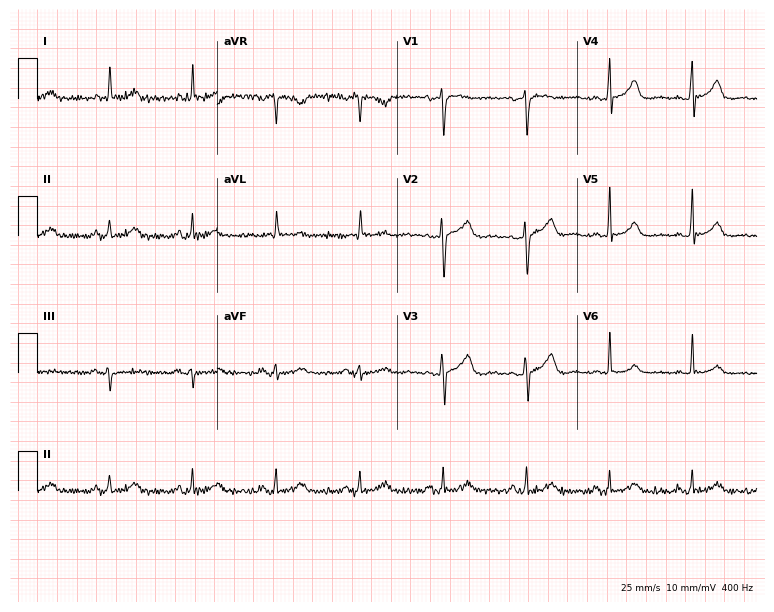
Standard 12-lead ECG recorded from a 56-year-old woman (7.3-second recording at 400 Hz). Read as a normal ECG.